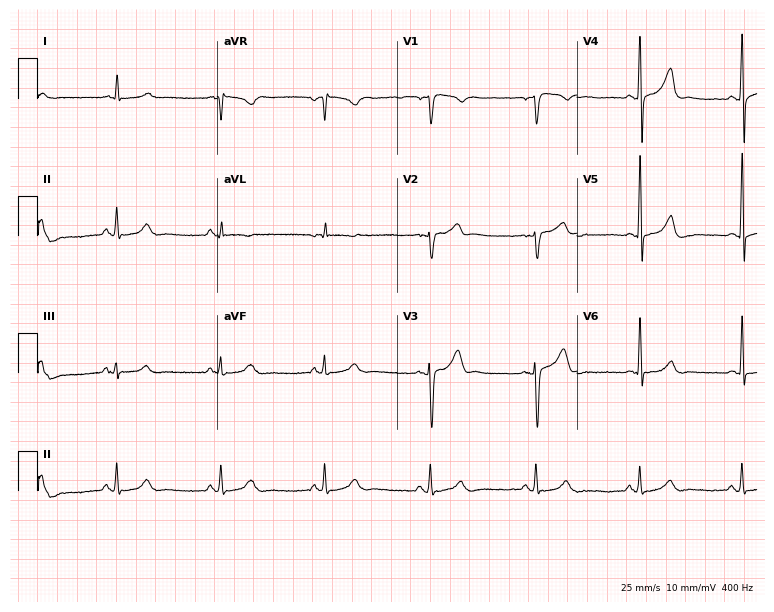
Electrocardiogram (7.3-second recording at 400 Hz), a 53-year-old man. Overall reading on record: normal ECG.